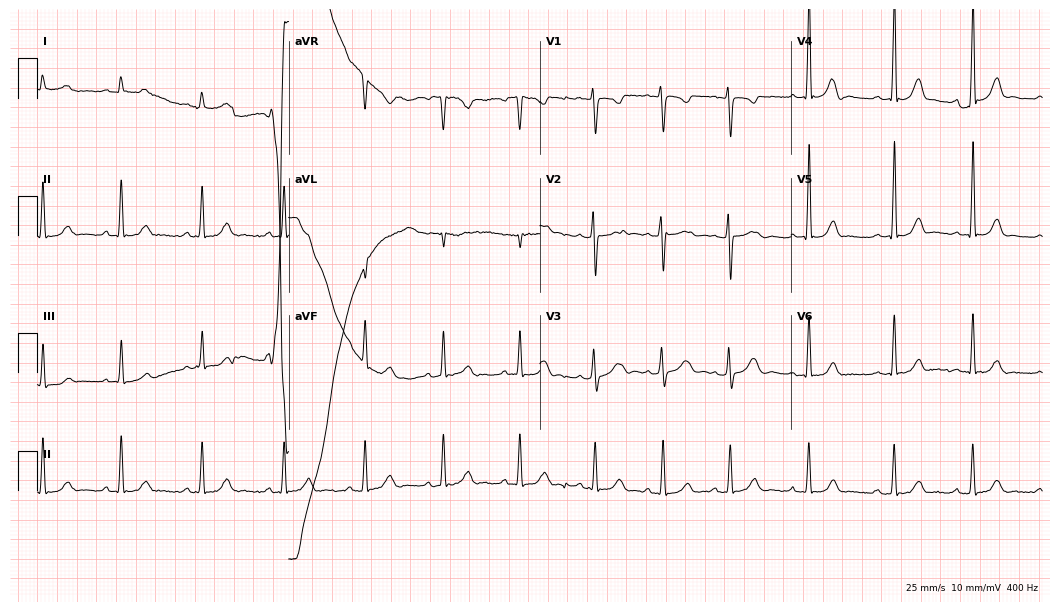
Standard 12-lead ECG recorded from a 26-year-old female (10.2-second recording at 400 Hz). None of these six findings is recorded: first-degree AV block, right bundle branch block, left bundle branch block, sinus bradycardia, atrial fibrillation, sinus tachycardia. Findings outside these six are not listed.